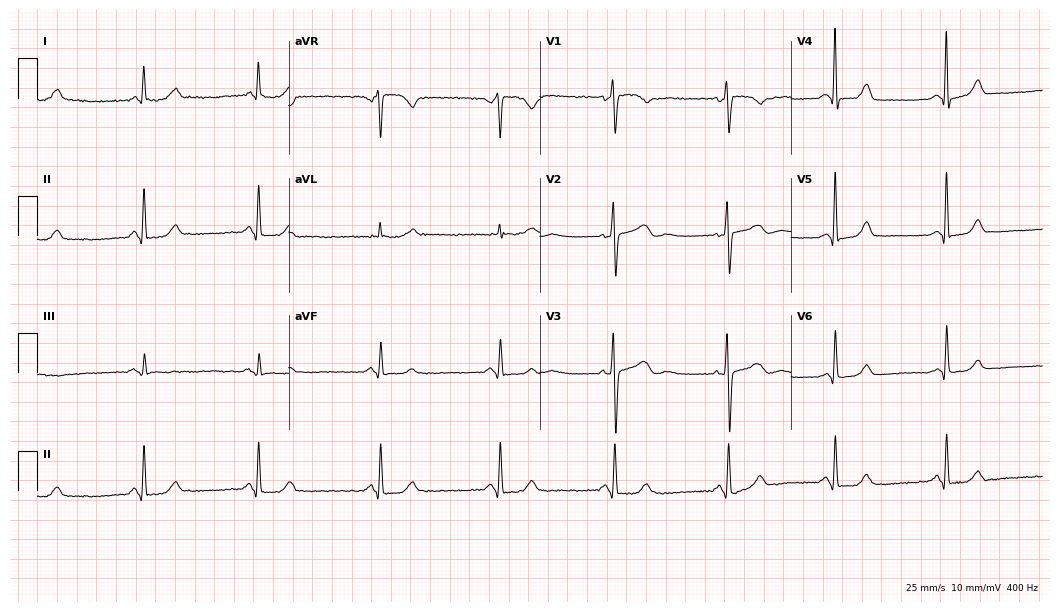
Electrocardiogram (10.2-second recording at 400 Hz), a 50-year-old woman. Overall reading on record: normal ECG.